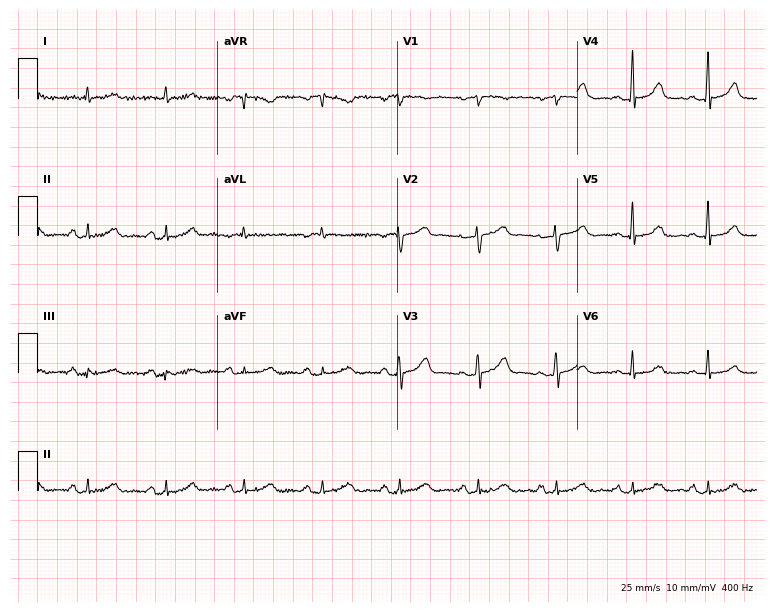
ECG (7.3-second recording at 400 Hz) — a 57-year-old woman. Labelled as a normal ECG.